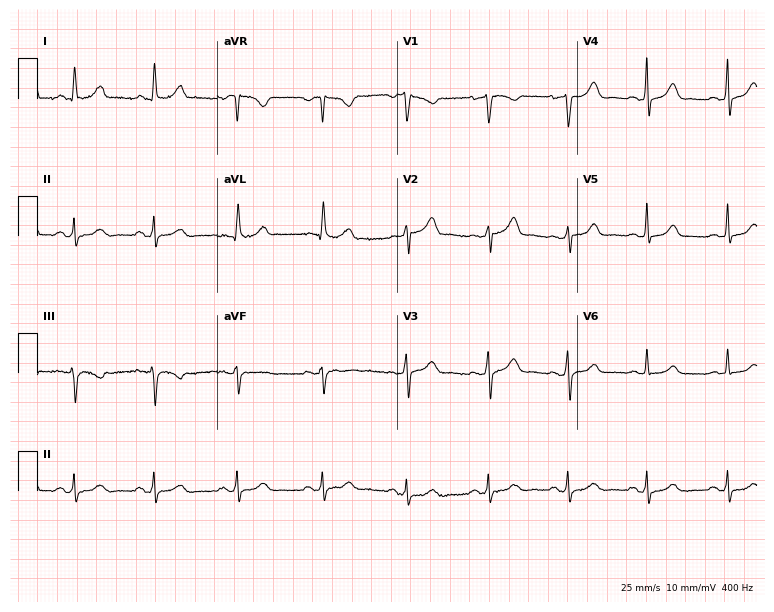
Standard 12-lead ECG recorded from a 54-year-old female. Read as a normal ECG.